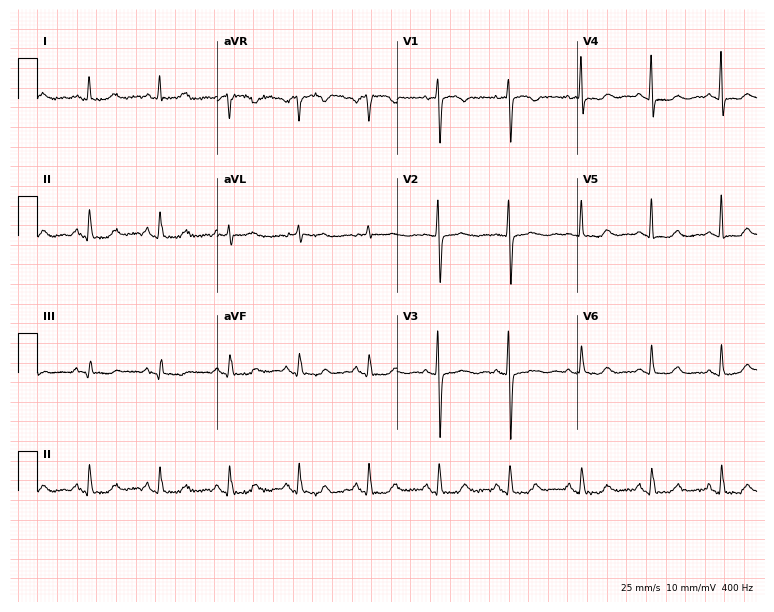
Electrocardiogram, a woman, 83 years old. Overall reading on record: normal ECG.